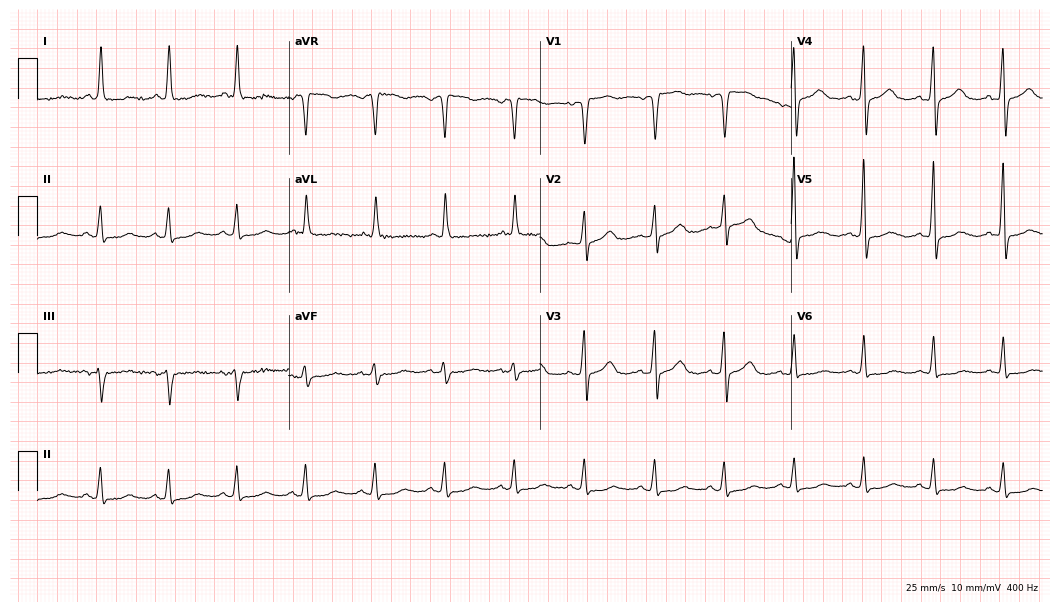
12-lead ECG from a 76-year-old female patient. No first-degree AV block, right bundle branch block, left bundle branch block, sinus bradycardia, atrial fibrillation or sinus tachycardia recorded for this tracing.